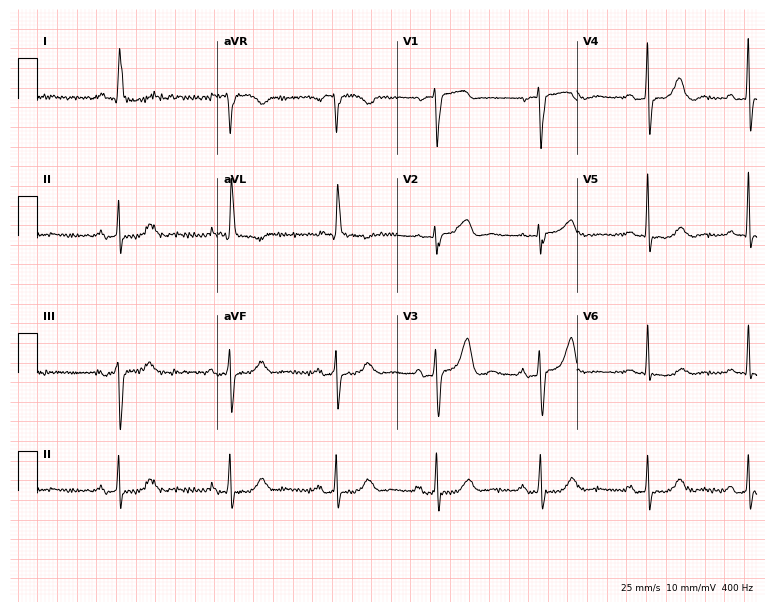
ECG — a 73-year-old female patient. Screened for six findings — first-degree AV block, right bundle branch block, left bundle branch block, sinus bradycardia, atrial fibrillation, sinus tachycardia — none is recorded. Only these six findings were labelled.